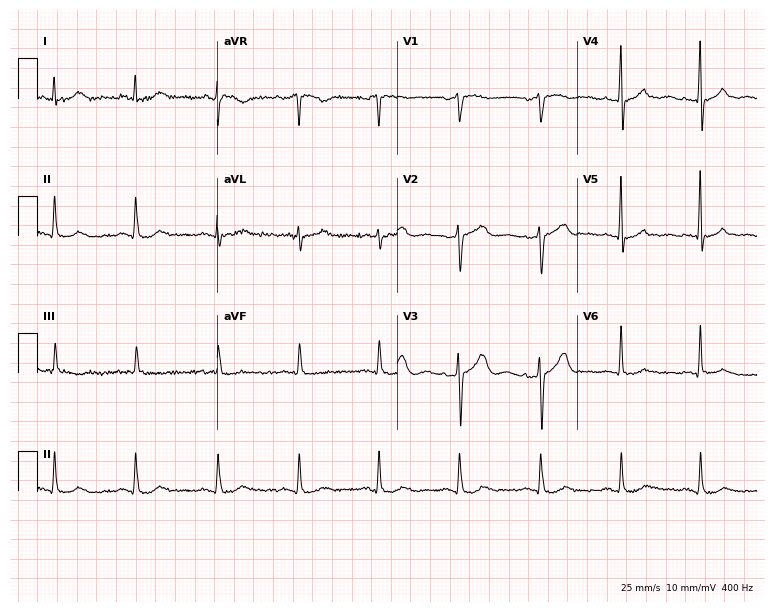
Standard 12-lead ECG recorded from a woman, 76 years old (7.3-second recording at 400 Hz). Read as a normal ECG.